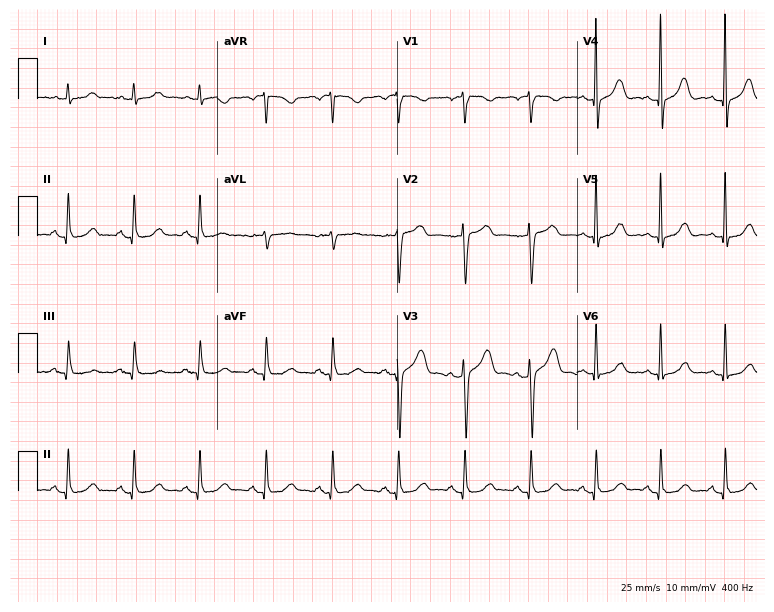
12-lead ECG from a female patient, 64 years old (7.3-second recording at 400 Hz). Recorded interpretation: within normal limits.